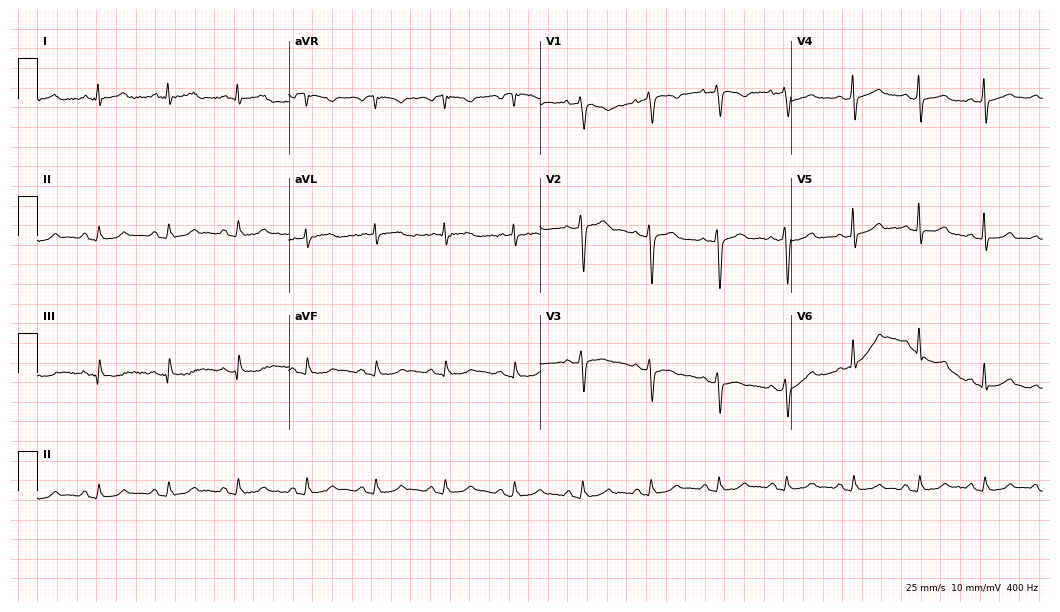
12-lead ECG from a female patient, 61 years old. Recorded interpretation: within normal limits.